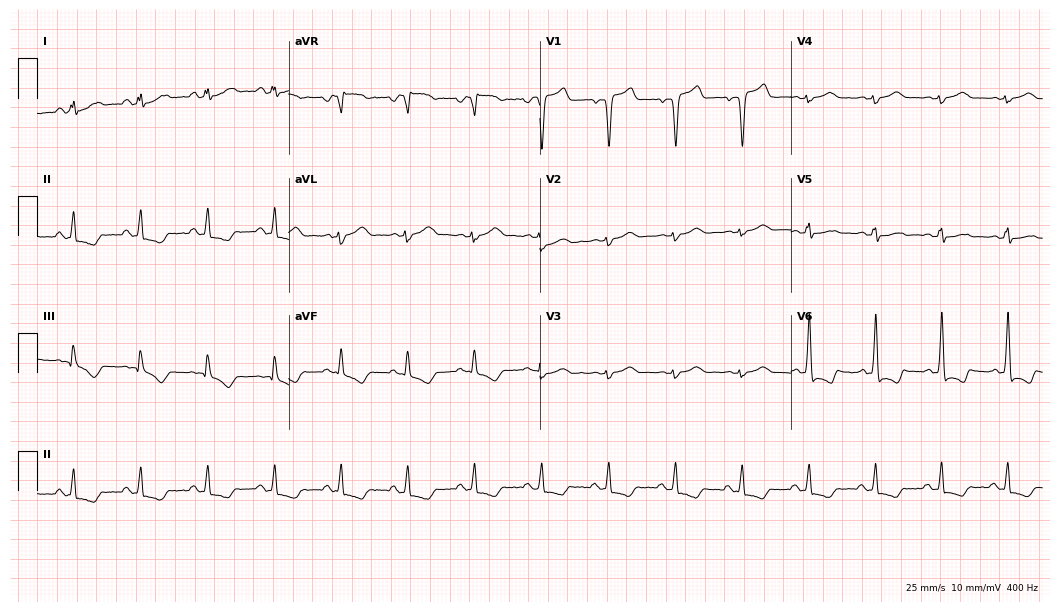
ECG — a 65-year-old male patient. Screened for six findings — first-degree AV block, right bundle branch block, left bundle branch block, sinus bradycardia, atrial fibrillation, sinus tachycardia — none is recorded. Other findings, if any, are not listed.